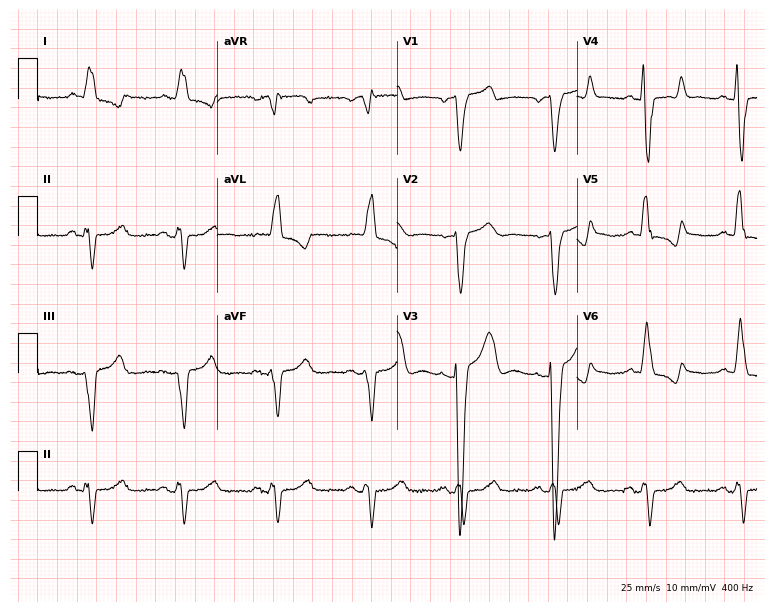
Resting 12-lead electrocardiogram. Patient: a 76-year-old female. The tracing shows left bundle branch block.